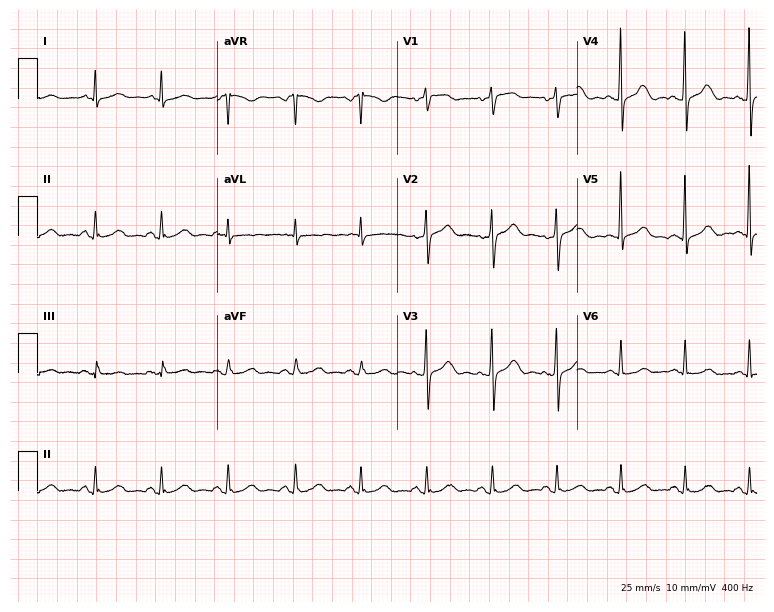
ECG — a woman, 76 years old. Labelled as a normal ECG.